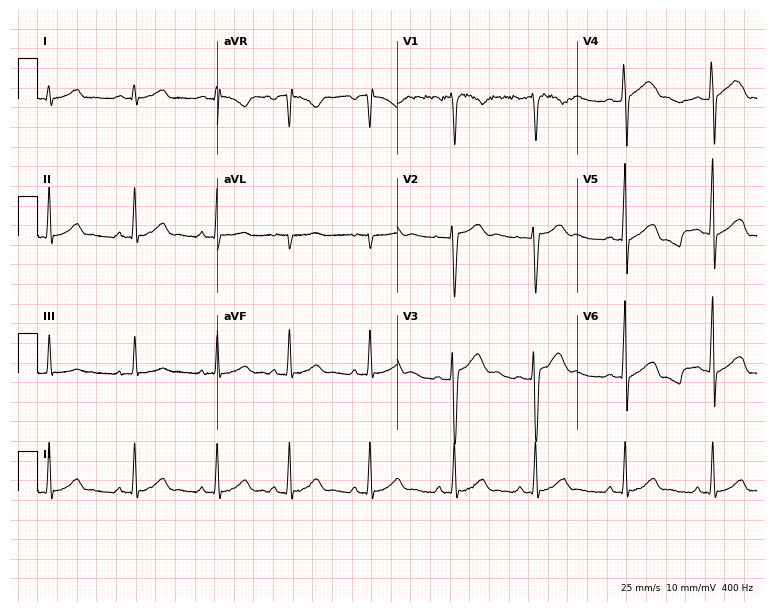
12-lead ECG (7.3-second recording at 400 Hz) from an 18-year-old male patient. Screened for six findings — first-degree AV block, right bundle branch block, left bundle branch block, sinus bradycardia, atrial fibrillation, sinus tachycardia — none is recorded.